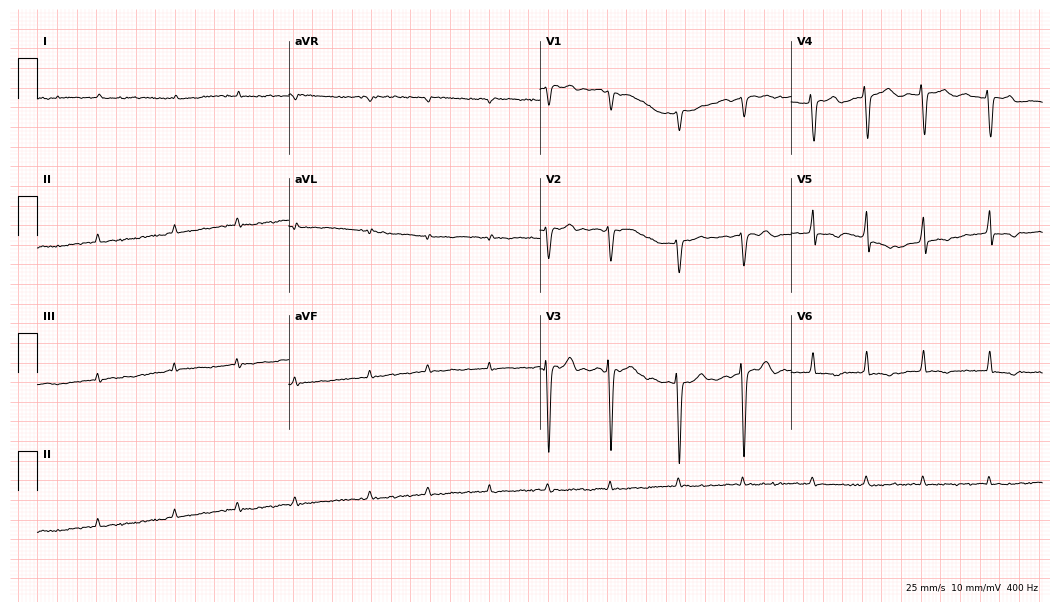
Electrocardiogram (10.2-second recording at 400 Hz), a male patient, 57 years old. Interpretation includes atrial fibrillation (AF).